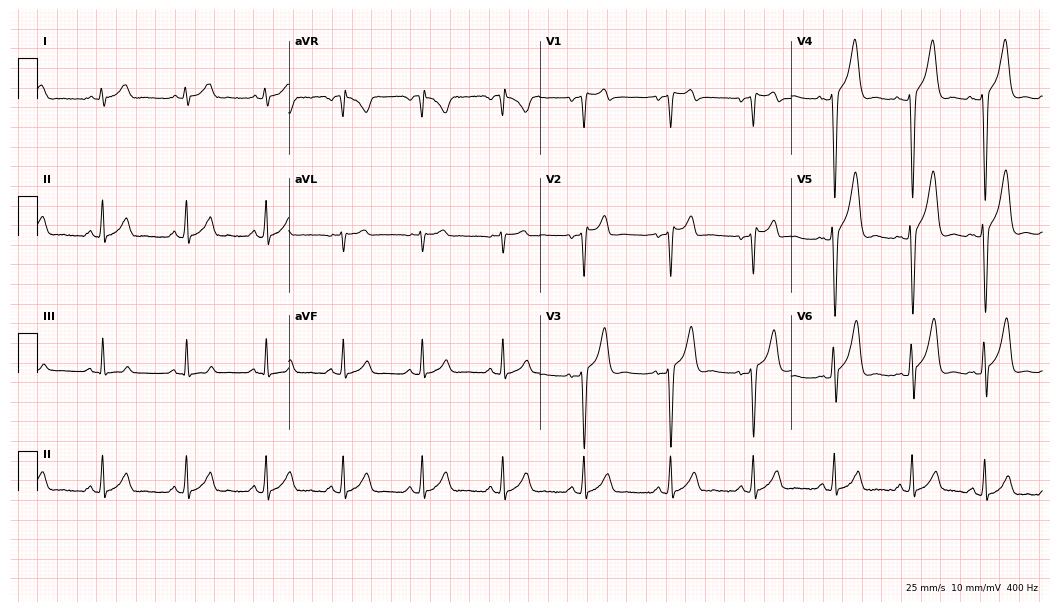
12-lead ECG from a man, 22 years old (10.2-second recording at 400 Hz). No first-degree AV block, right bundle branch block, left bundle branch block, sinus bradycardia, atrial fibrillation or sinus tachycardia recorded for this tracing. Other findings, if any, are not listed.